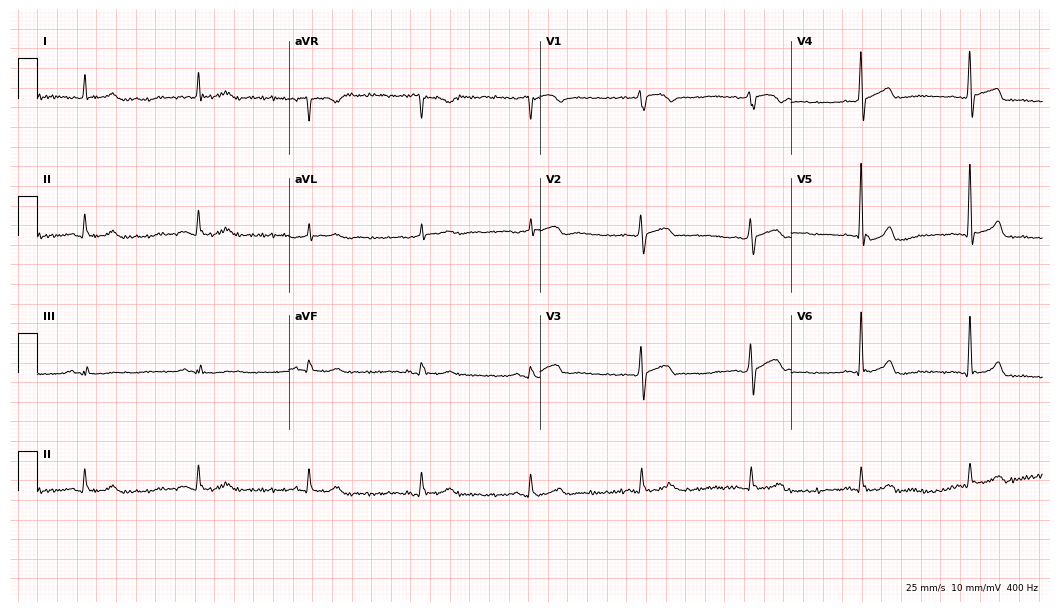
Standard 12-lead ECG recorded from a man, 76 years old (10.2-second recording at 400 Hz). Read as a normal ECG.